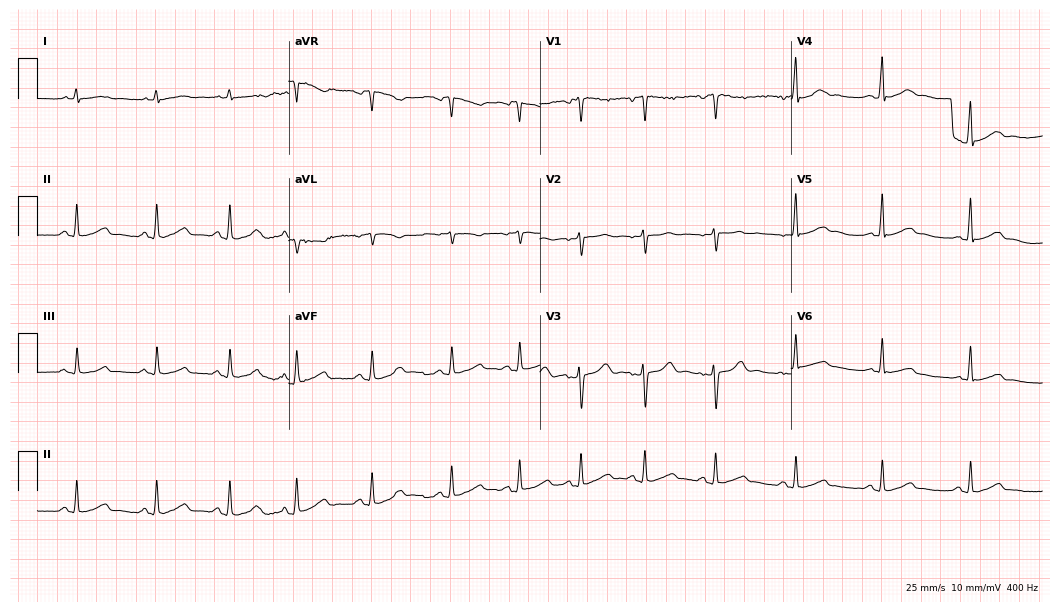
Standard 12-lead ECG recorded from a female, 23 years old. Read as a normal ECG.